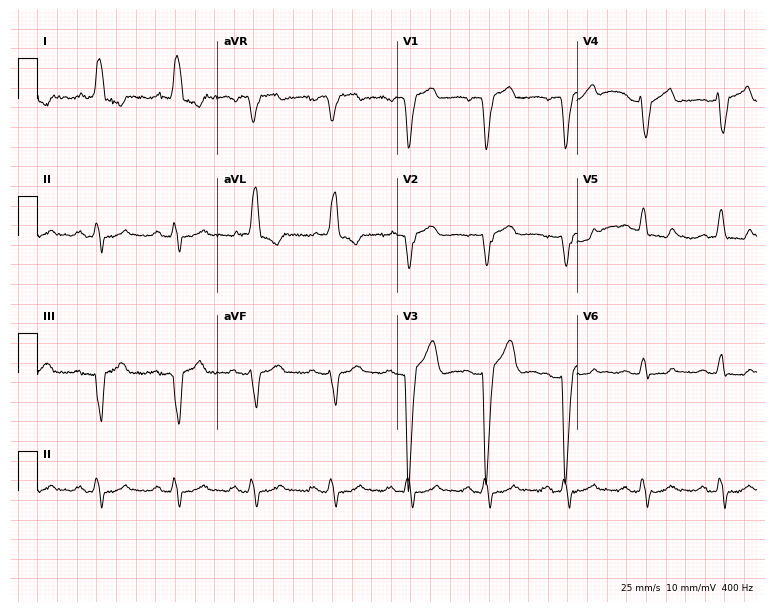
12-lead ECG (7.3-second recording at 400 Hz) from a 69-year-old female patient. Findings include left bundle branch block.